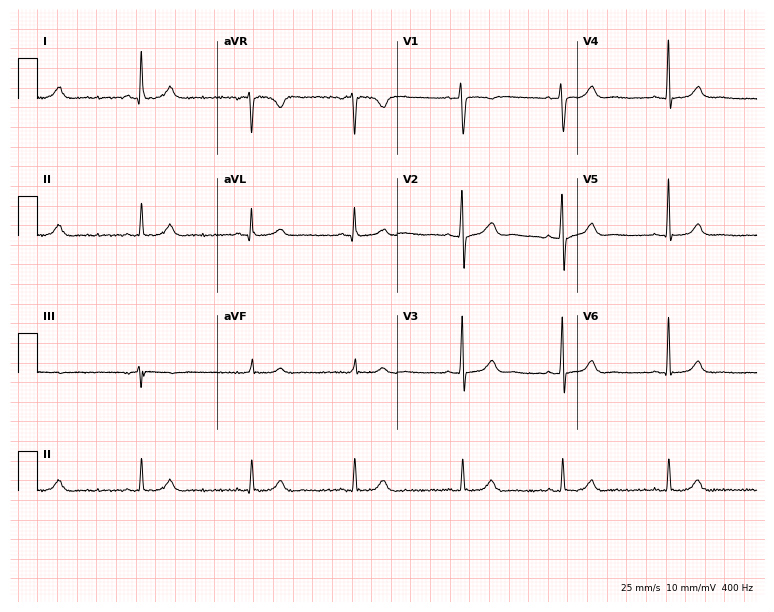
Standard 12-lead ECG recorded from a 36-year-old female (7.3-second recording at 400 Hz). None of these six findings is recorded: first-degree AV block, right bundle branch block, left bundle branch block, sinus bradycardia, atrial fibrillation, sinus tachycardia.